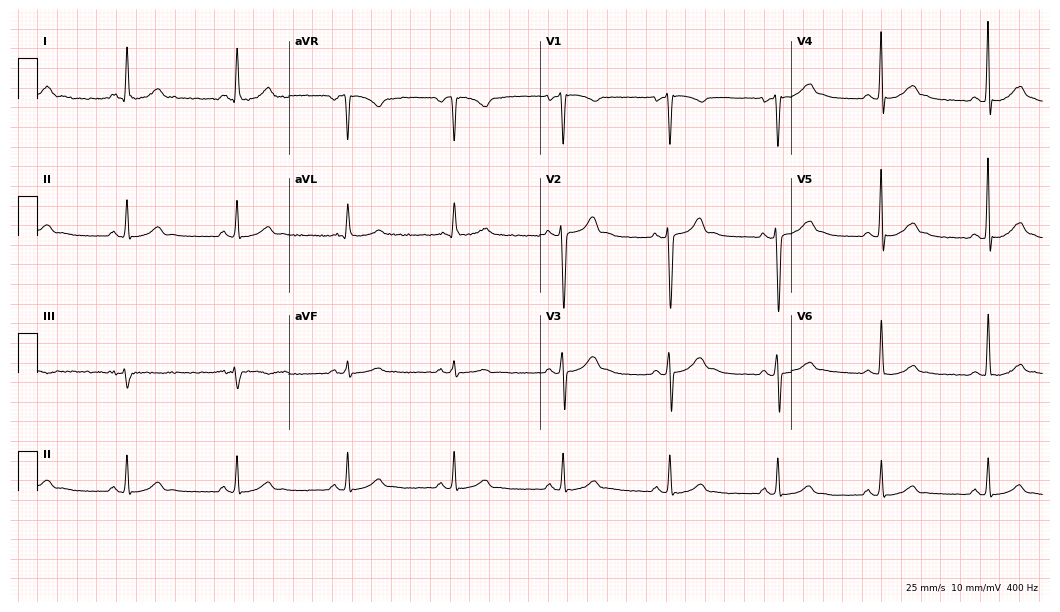
Standard 12-lead ECG recorded from a 31-year-old man (10.2-second recording at 400 Hz). None of these six findings is recorded: first-degree AV block, right bundle branch block (RBBB), left bundle branch block (LBBB), sinus bradycardia, atrial fibrillation (AF), sinus tachycardia.